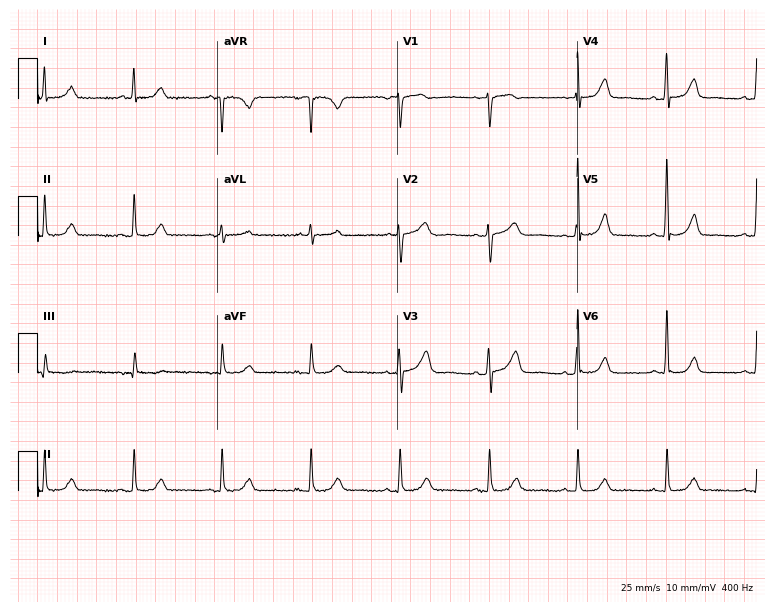
Electrocardiogram, a female, 58 years old. Overall reading on record: normal ECG.